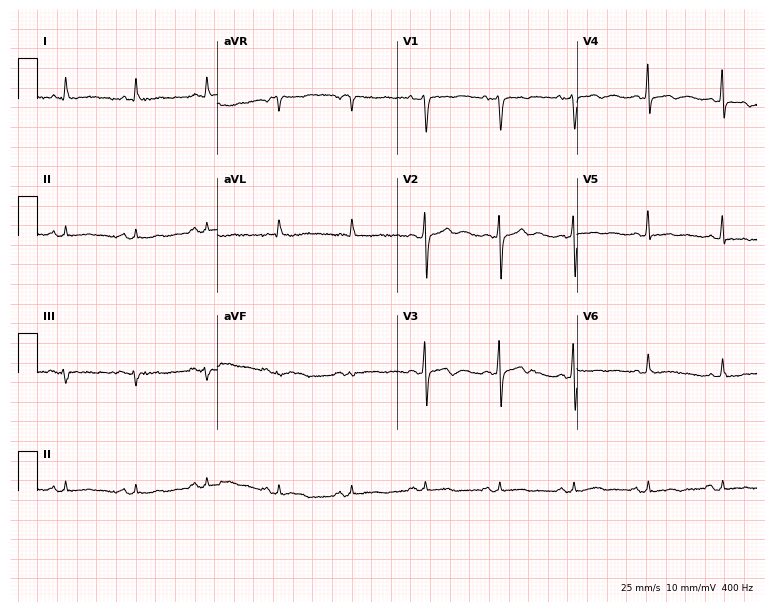
Electrocardiogram (7.3-second recording at 400 Hz), a 63-year-old woman. Of the six screened findings (first-degree AV block, right bundle branch block (RBBB), left bundle branch block (LBBB), sinus bradycardia, atrial fibrillation (AF), sinus tachycardia), none is recorded.